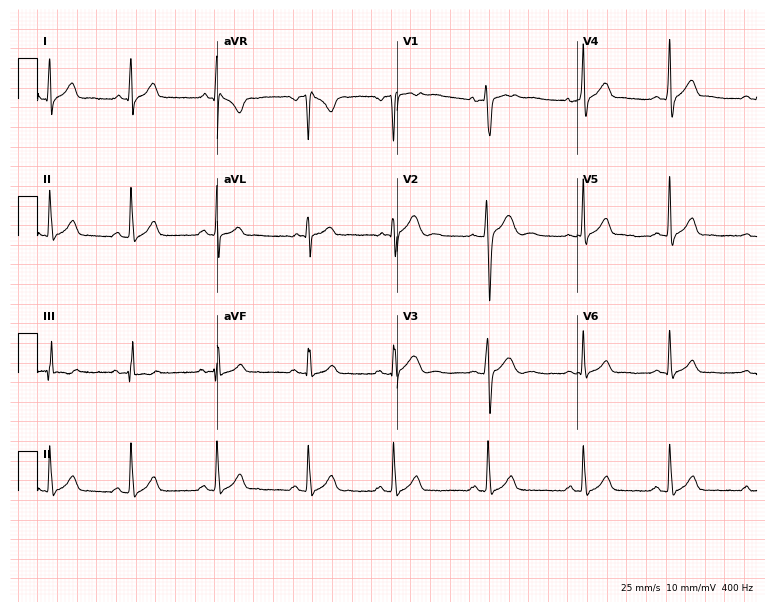
Electrocardiogram, a male, 20 years old. Overall reading on record: normal ECG.